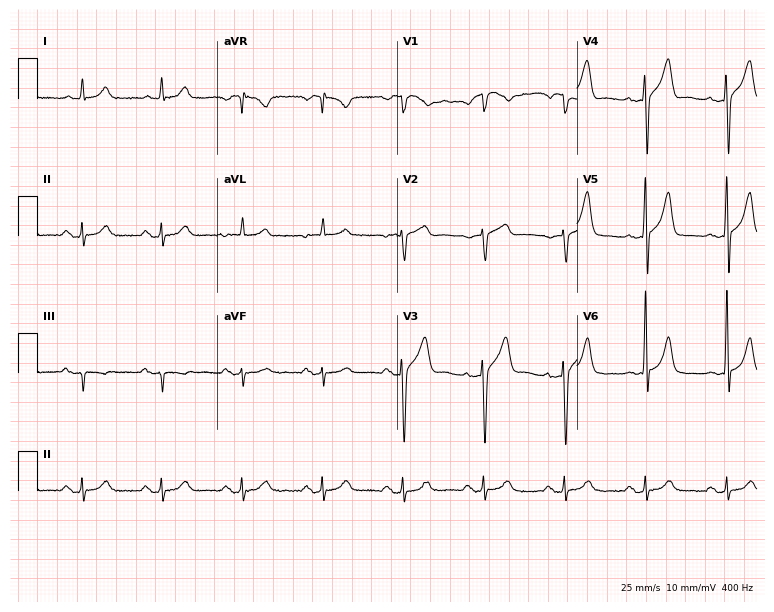
ECG (7.3-second recording at 400 Hz) — an 80-year-old man. Labelled as a normal ECG.